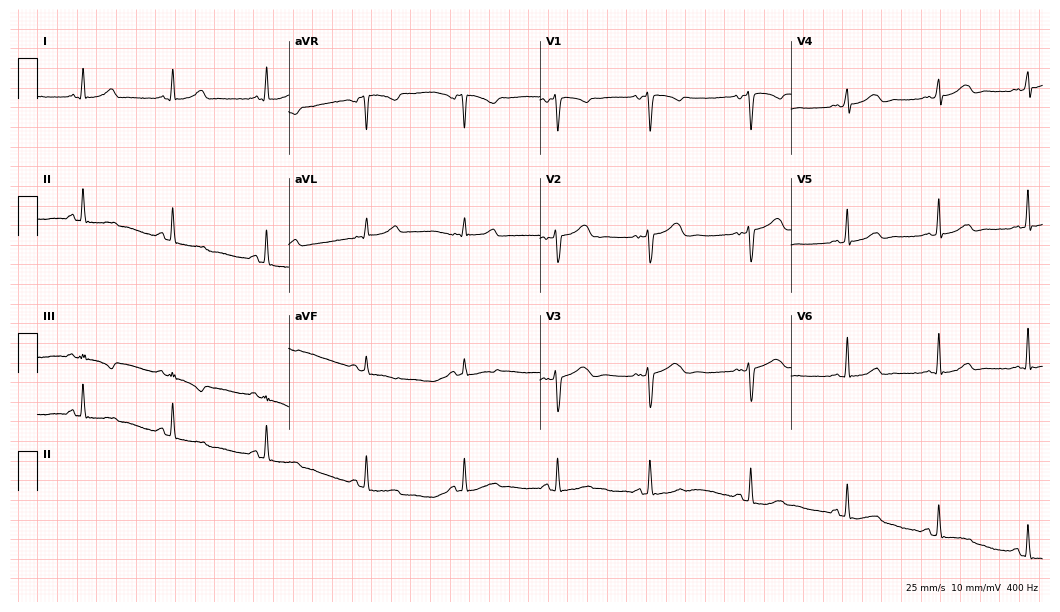
12-lead ECG from a 28-year-old woman. Recorded interpretation: within normal limits.